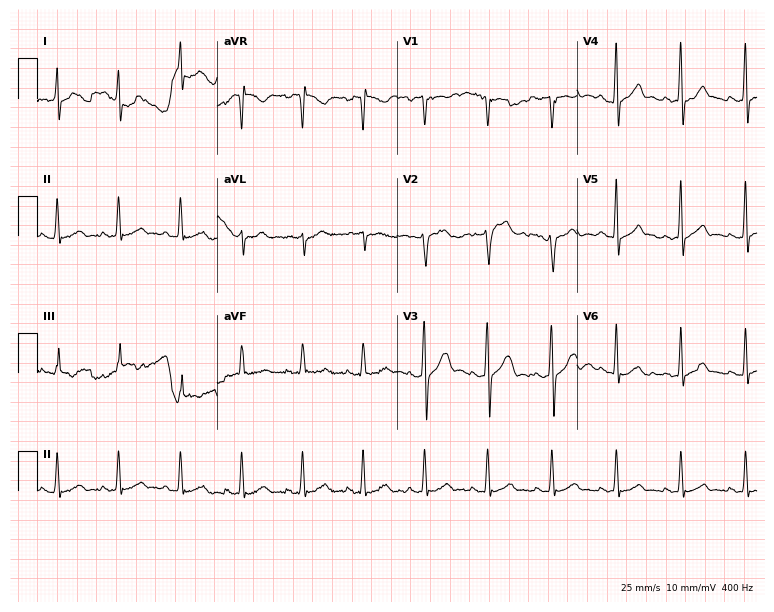
ECG (7.3-second recording at 400 Hz) — a 29-year-old male. Labelled as a normal ECG.